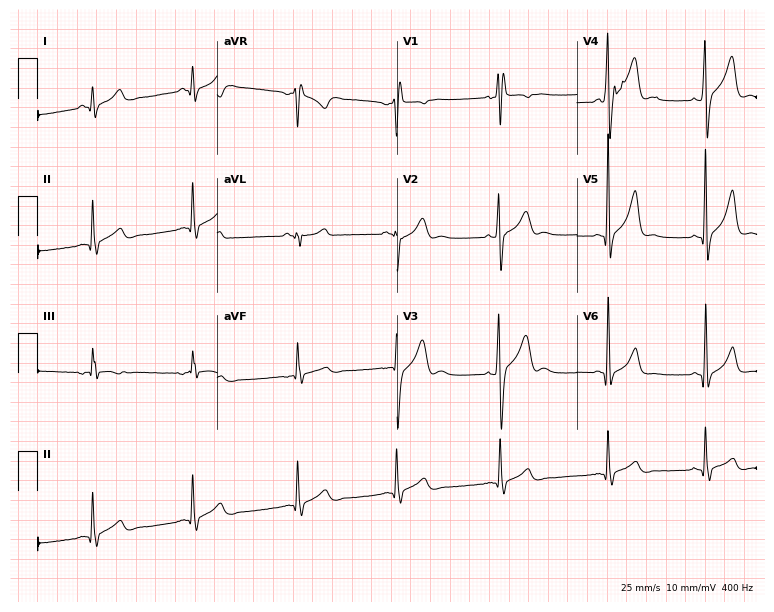
ECG — an 18-year-old male patient. Findings include right bundle branch block.